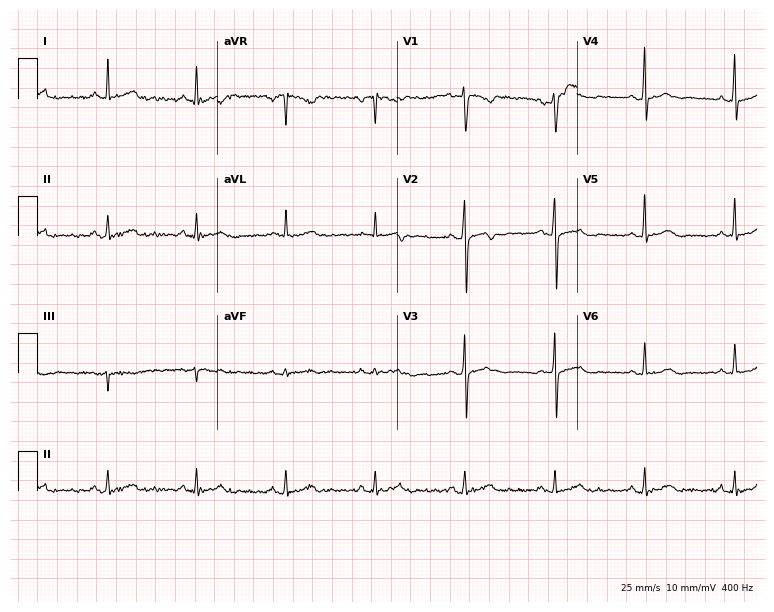
12-lead ECG from a 38-year-old male. No first-degree AV block, right bundle branch block, left bundle branch block, sinus bradycardia, atrial fibrillation or sinus tachycardia recorded for this tracing. Only these six findings were labelled.